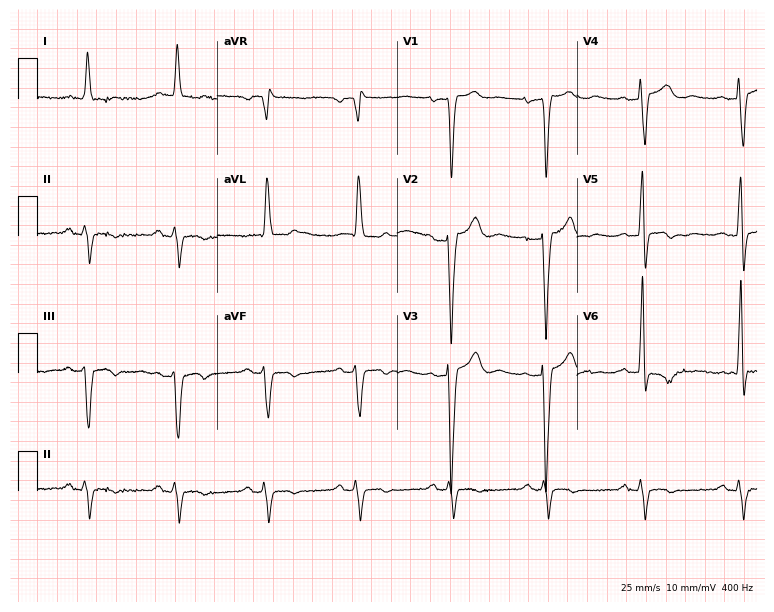
12-lead ECG from a male patient, 68 years old. Findings include left bundle branch block.